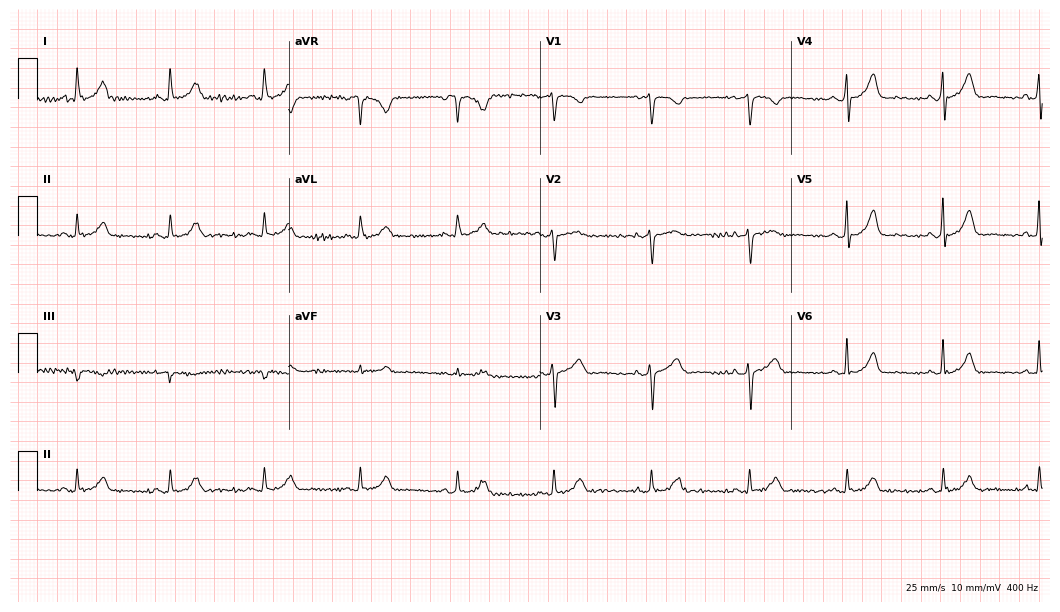
12-lead ECG (10.2-second recording at 400 Hz) from a female patient, 53 years old. Labelled as a normal ECG.